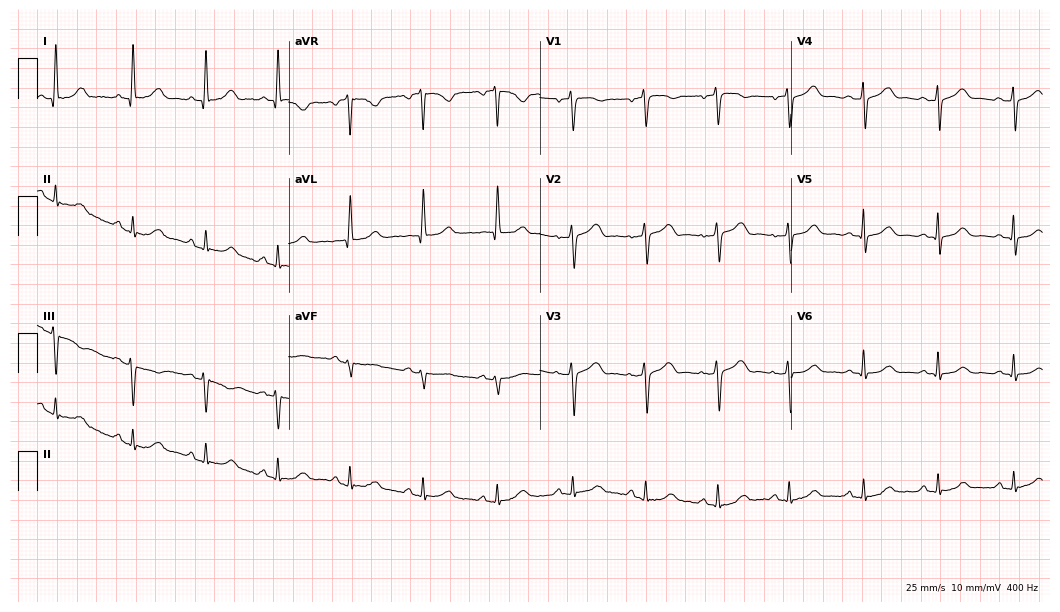
Standard 12-lead ECG recorded from a 61-year-old female. None of these six findings is recorded: first-degree AV block, right bundle branch block (RBBB), left bundle branch block (LBBB), sinus bradycardia, atrial fibrillation (AF), sinus tachycardia. Other findings, if any, are not listed.